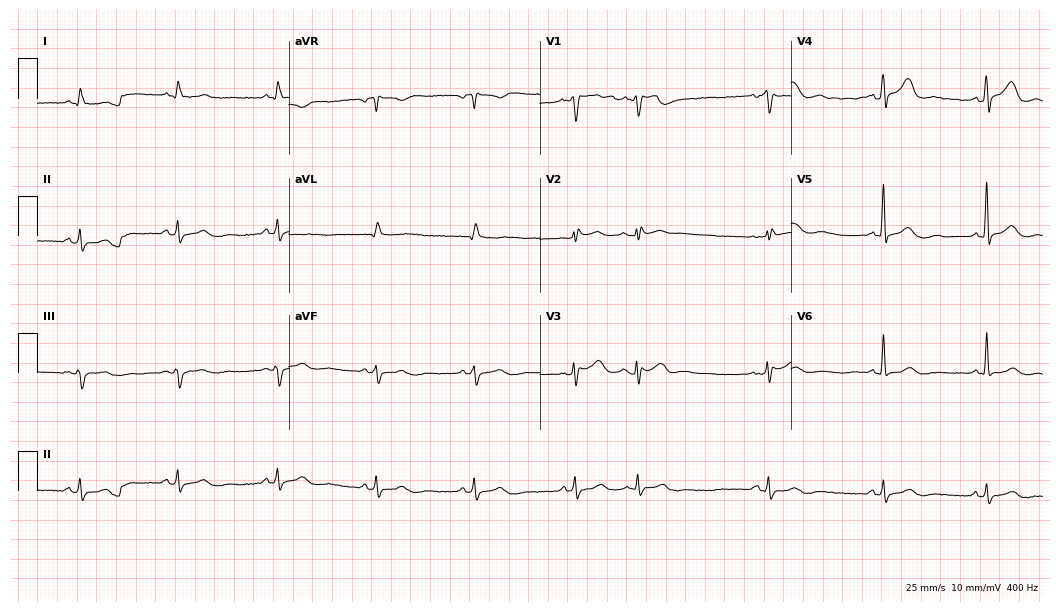
Standard 12-lead ECG recorded from a 67-year-old man (10.2-second recording at 400 Hz). None of these six findings is recorded: first-degree AV block, right bundle branch block, left bundle branch block, sinus bradycardia, atrial fibrillation, sinus tachycardia.